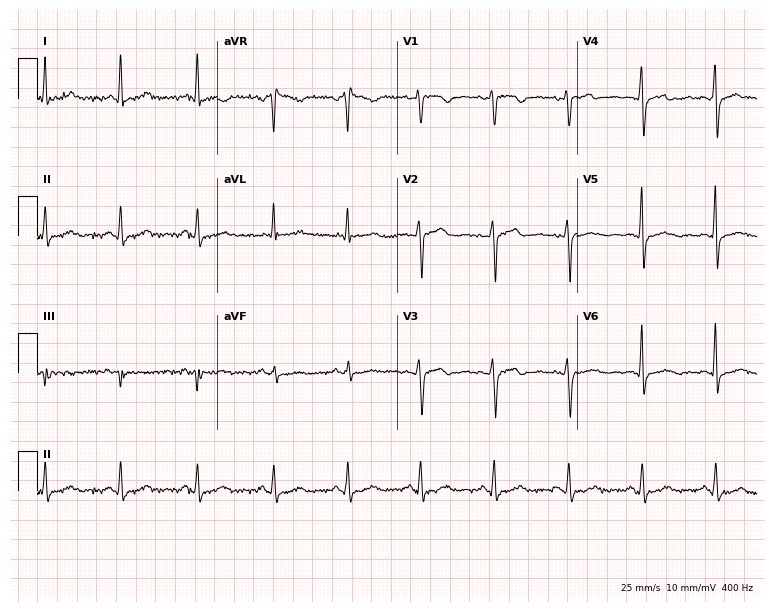
Electrocardiogram, a female patient, 51 years old. Of the six screened findings (first-degree AV block, right bundle branch block (RBBB), left bundle branch block (LBBB), sinus bradycardia, atrial fibrillation (AF), sinus tachycardia), none is recorded. Findings outside these six are not listed.